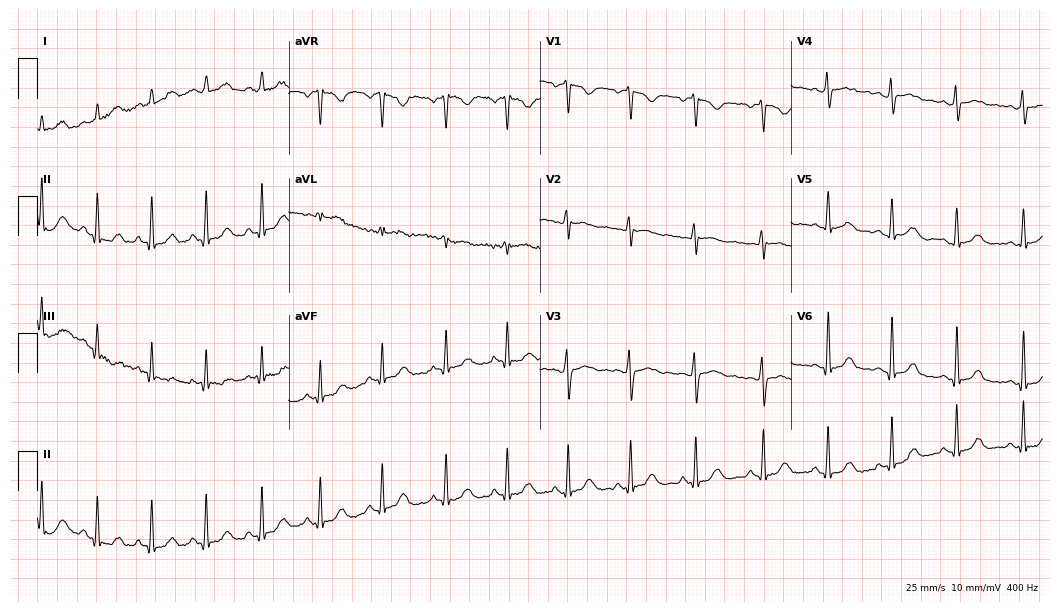
12-lead ECG from a 17-year-old woman. Labelled as a normal ECG.